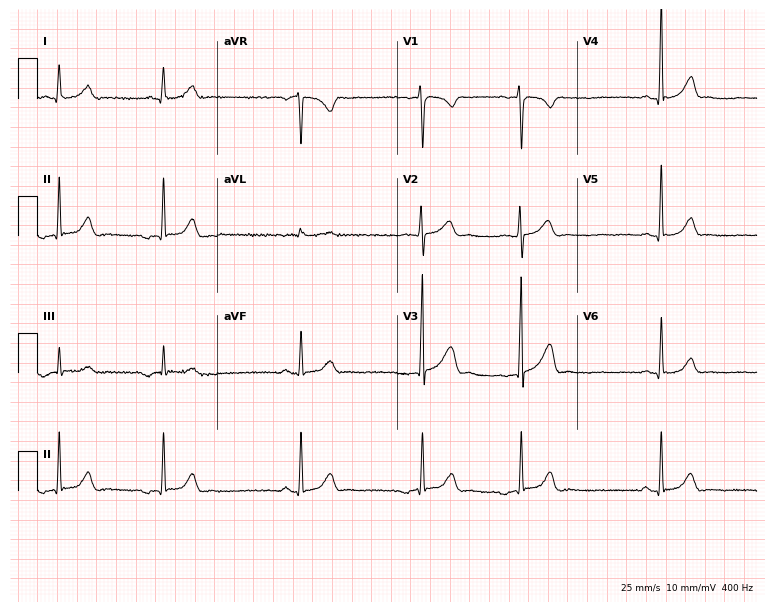
Standard 12-lead ECG recorded from a male, 36 years old (7.3-second recording at 400 Hz). None of these six findings is recorded: first-degree AV block, right bundle branch block, left bundle branch block, sinus bradycardia, atrial fibrillation, sinus tachycardia.